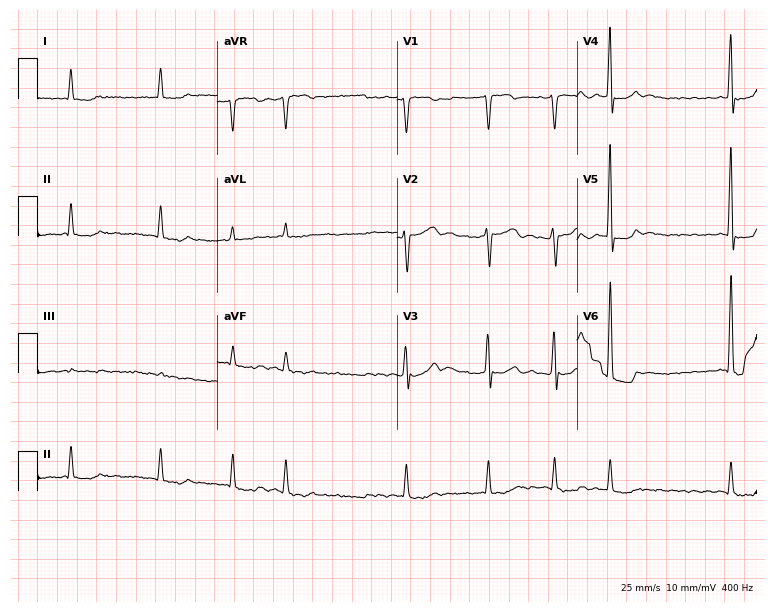
12-lead ECG from a male, 84 years old. Findings include atrial fibrillation.